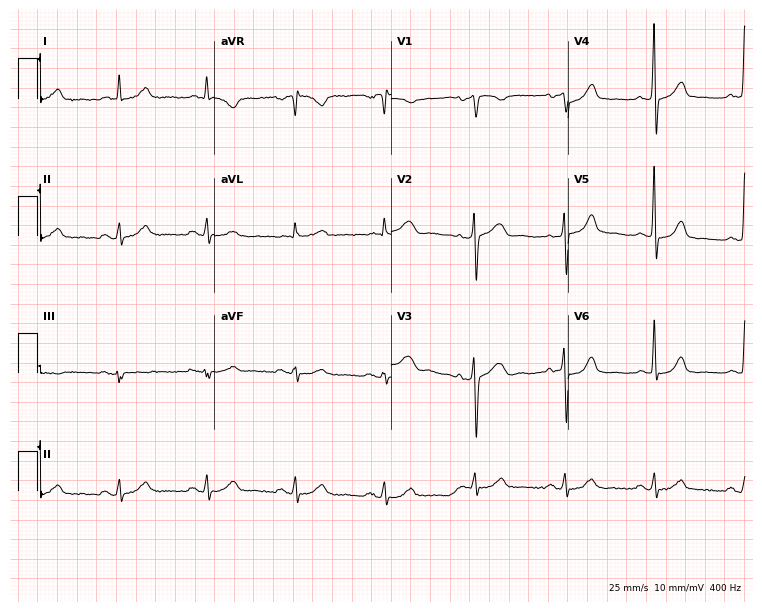
Electrocardiogram (7.2-second recording at 400 Hz), a male, 64 years old. Of the six screened findings (first-degree AV block, right bundle branch block (RBBB), left bundle branch block (LBBB), sinus bradycardia, atrial fibrillation (AF), sinus tachycardia), none is recorded.